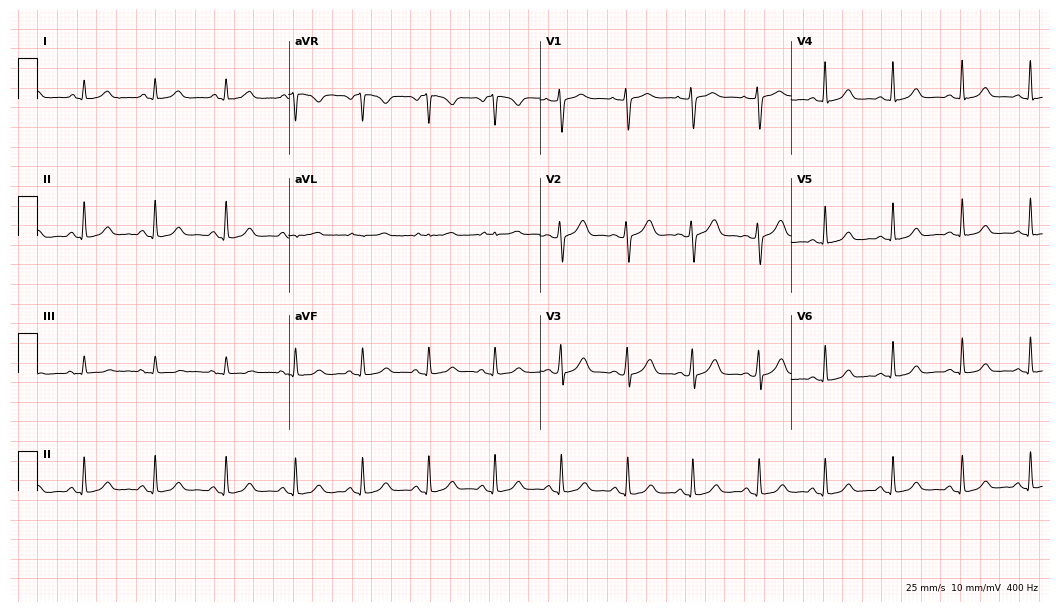
12-lead ECG from a 35-year-old female patient. Recorded interpretation: within normal limits.